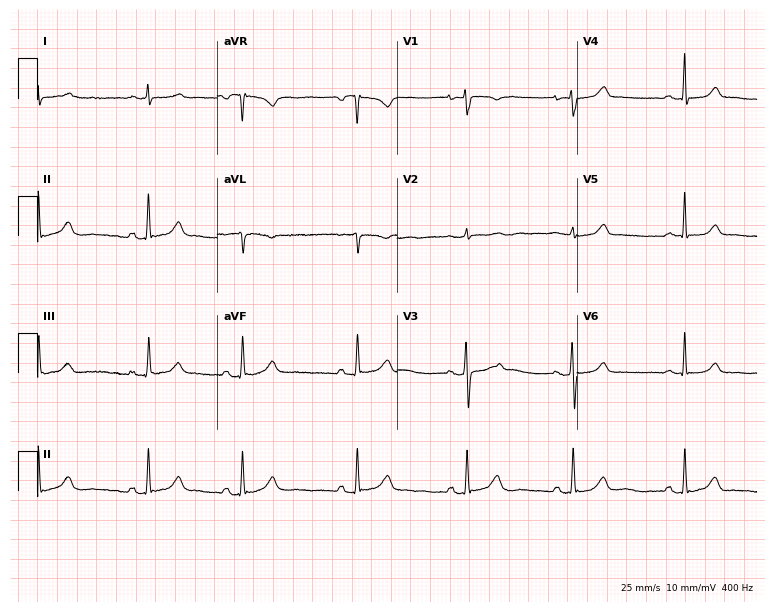
12-lead ECG from a 21-year-old woman. Labelled as a normal ECG.